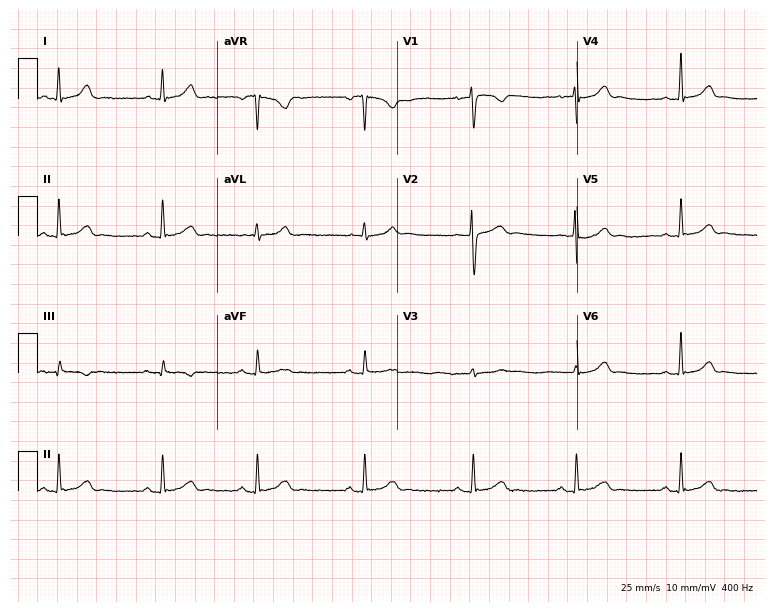
Electrocardiogram, a 22-year-old female patient. Overall reading on record: normal ECG.